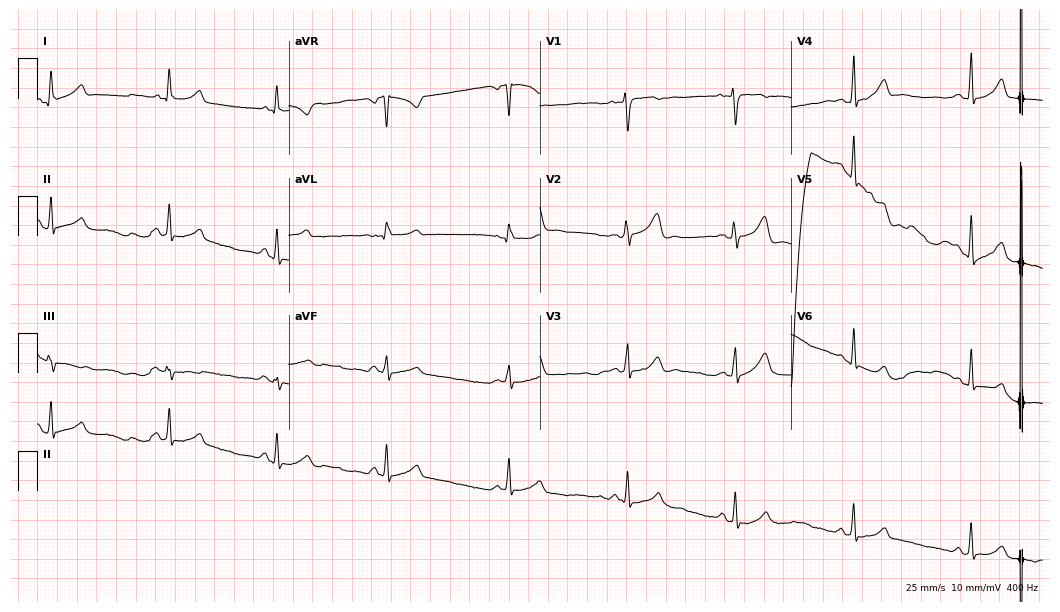
ECG — a female, 38 years old. Labelled as a normal ECG.